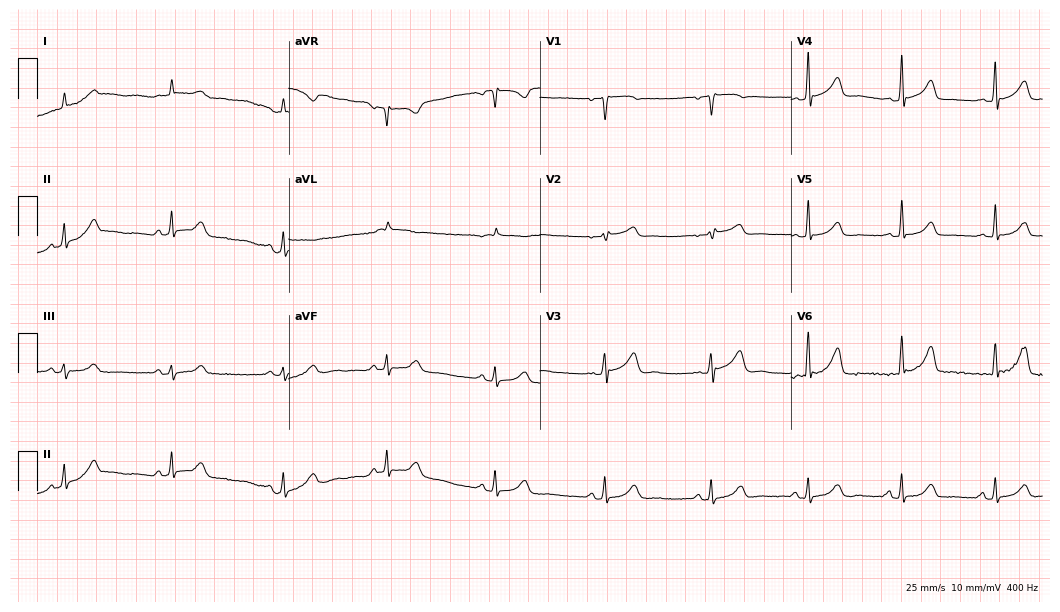
12-lead ECG (10.2-second recording at 400 Hz) from a male, 49 years old. Labelled as a normal ECG.